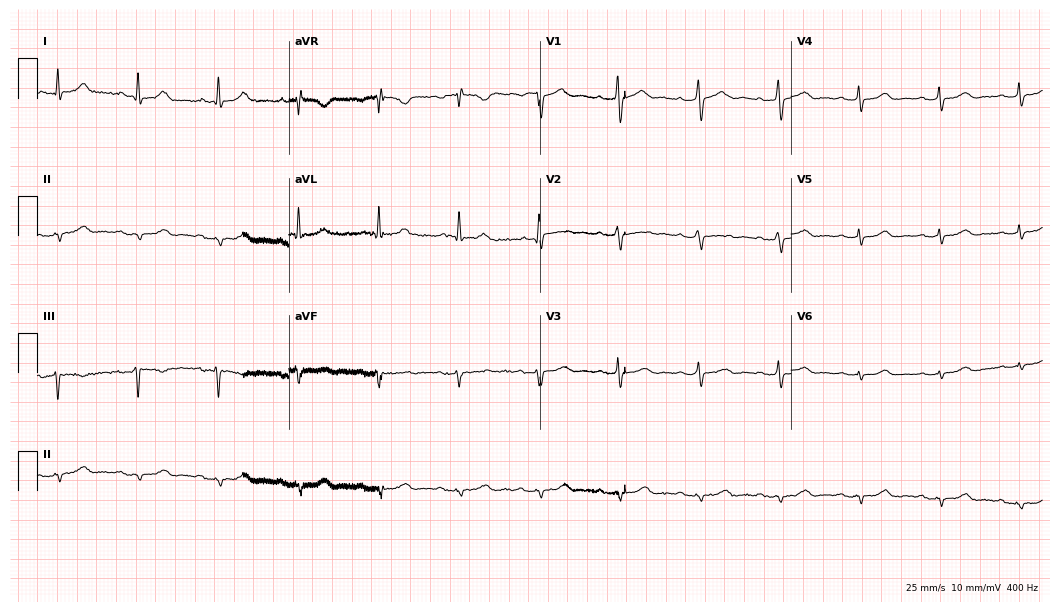
Standard 12-lead ECG recorded from a woman, 80 years old. None of these six findings is recorded: first-degree AV block, right bundle branch block (RBBB), left bundle branch block (LBBB), sinus bradycardia, atrial fibrillation (AF), sinus tachycardia. Only these six findings were labelled.